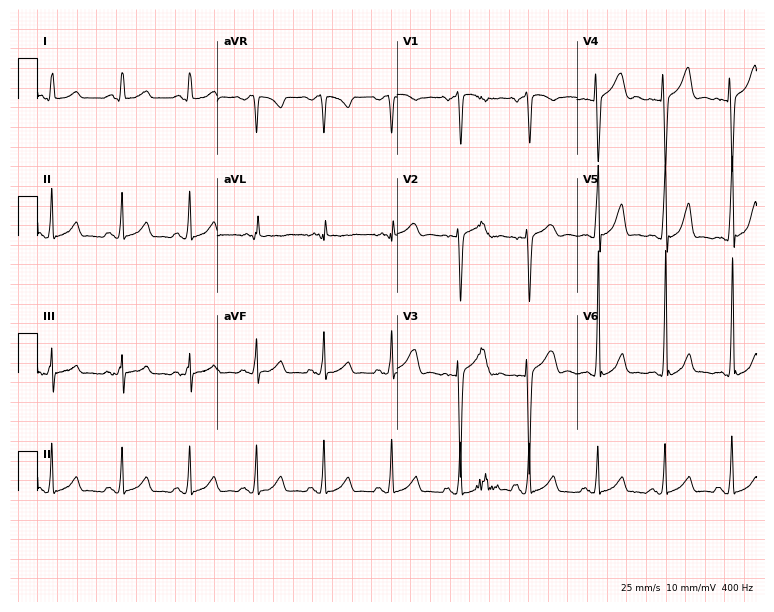
ECG — a 25-year-old female patient. Screened for six findings — first-degree AV block, right bundle branch block, left bundle branch block, sinus bradycardia, atrial fibrillation, sinus tachycardia — none is recorded.